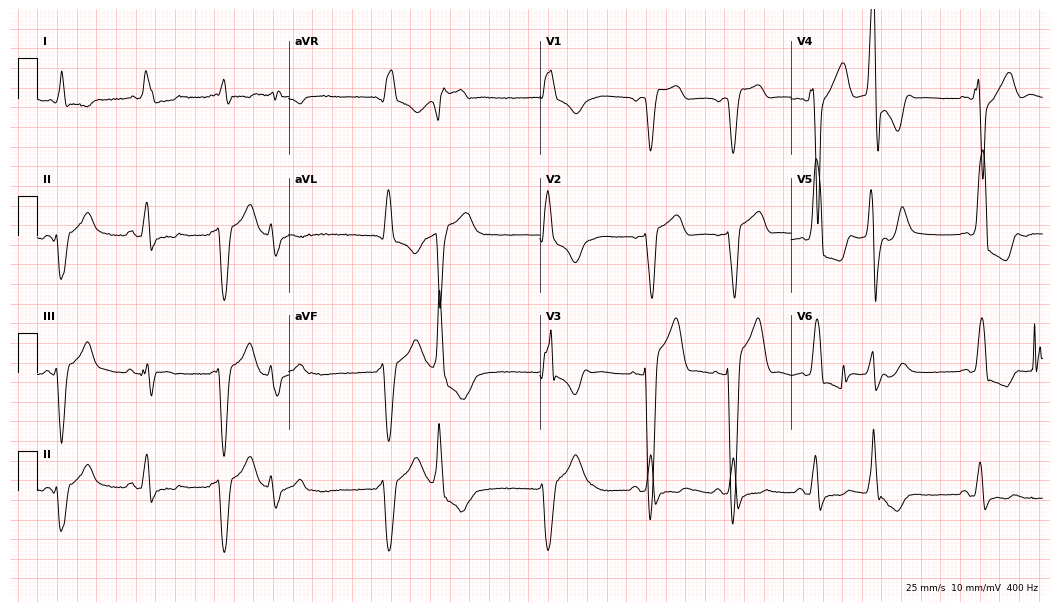
ECG — a 78-year-old female patient. Findings include left bundle branch block (LBBB).